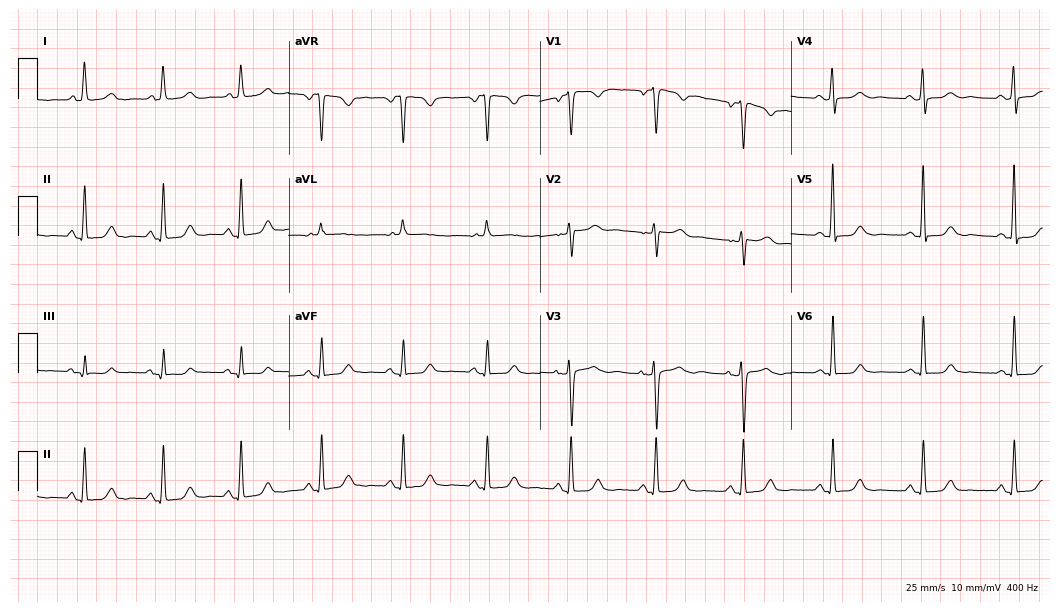
Standard 12-lead ECG recorded from a woman, 58 years old (10.2-second recording at 400 Hz). Read as a normal ECG.